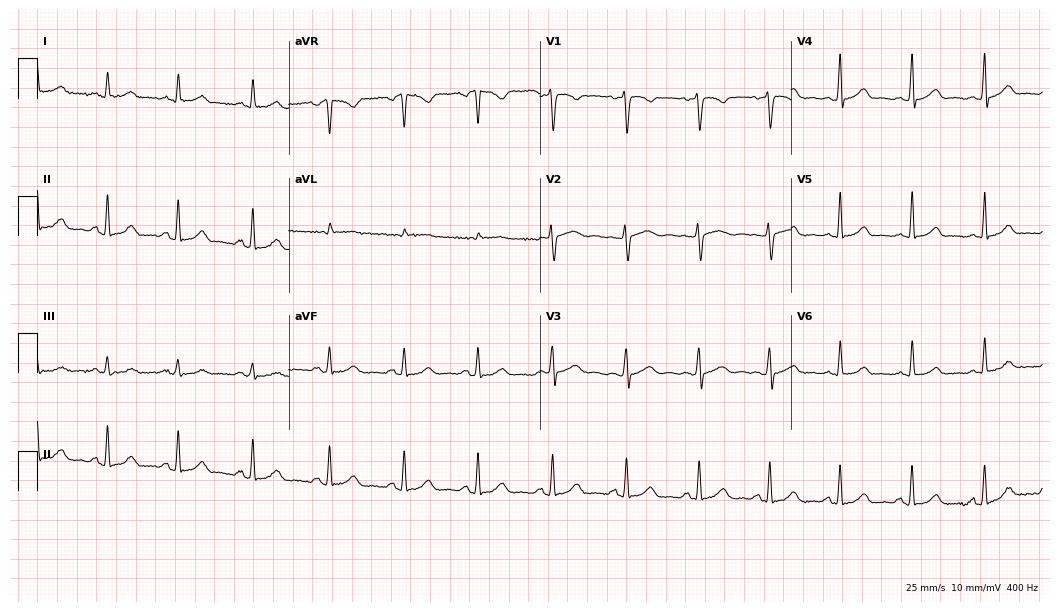
12-lead ECG (10.2-second recording at 400 Hz) from a 38-year-old female patient. Labelled as a normal ECG.